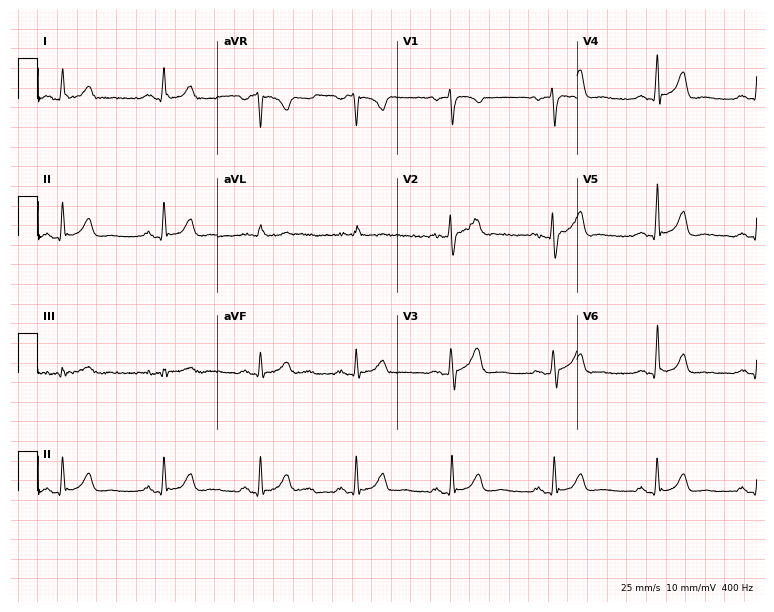
Resting 12-lead electrocardiogram (7.3-second recording at 400 Hz). Patient: a female, 37 years old. Read as a normal ECG.